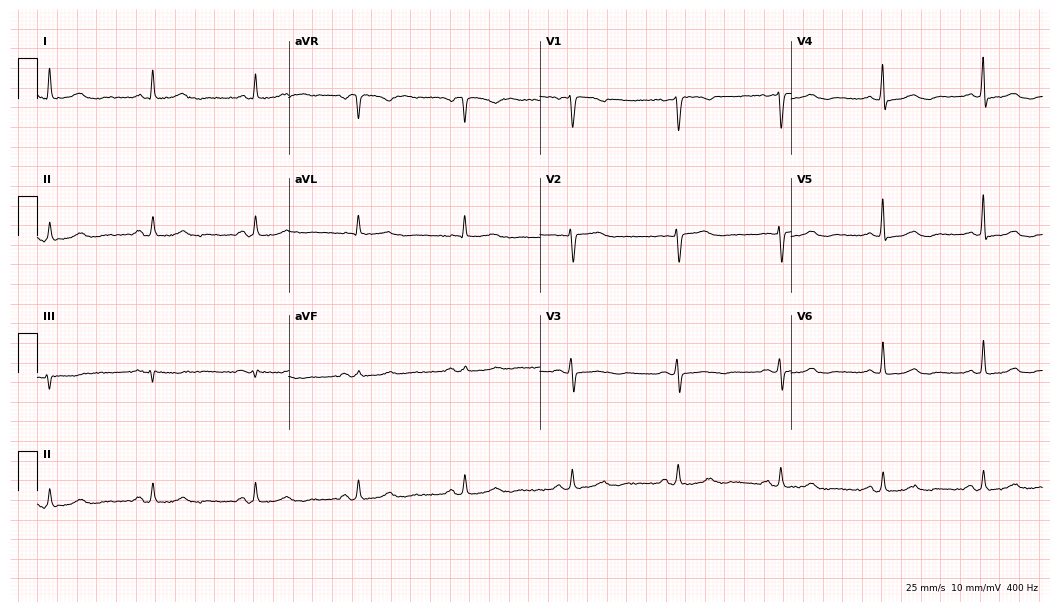
Standard 12-lead ECG recorded from a 61-year-old woman (10.2-second recording at 400 Hz). Read as a normal ECG.